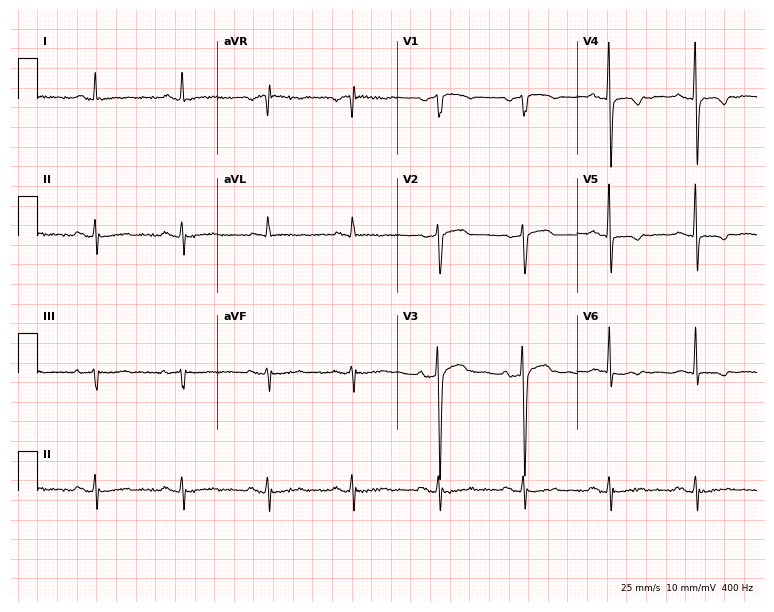
Resting 12-lead electrocardiogram (7.3-second recording at 400 Hz). Patient: a male, 55 years old. None of these six findings is recorded: first-degree AV block, right bundle branch block, left bundle branch block, sinus bradycardia, atrial fibrillation, sinus tachycardia.